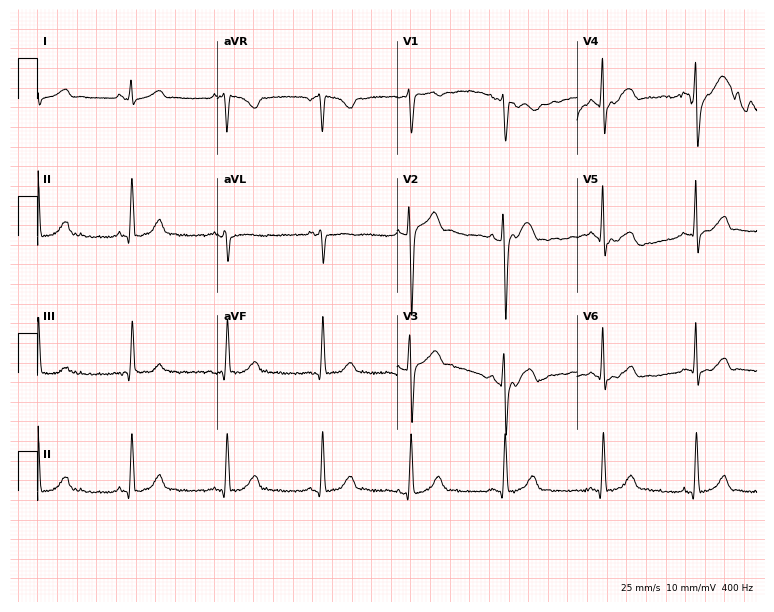
Standard 12-lead ECG recorded from a man, 17 years old (7.3-second recording at 400 Hz). None of these six findings is recorded: first-degree AV block, right bundle branch block, left bundle branch block, sinus bradycardia, atrial fibrillation, sinus tachycardia.